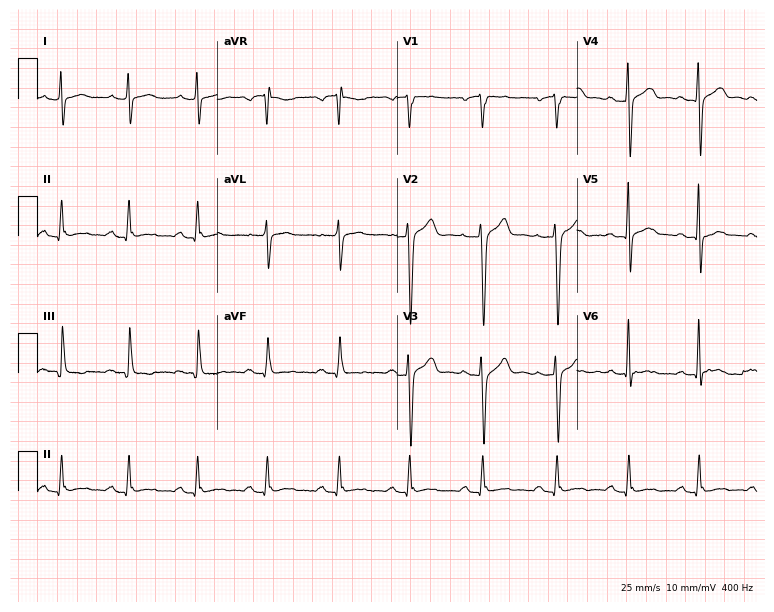
12-lead ECG (7.3-second recording at 400 Hz) from a male, 39 years old. Screened for six findings — first-degree AV block, right bundle branch block (RBBB), left bundle branch block (LBBB), sinus bradycardia, atrial fibrillation (AF), sinus tachycardia — none is recorded. Only these six findings were labelled.